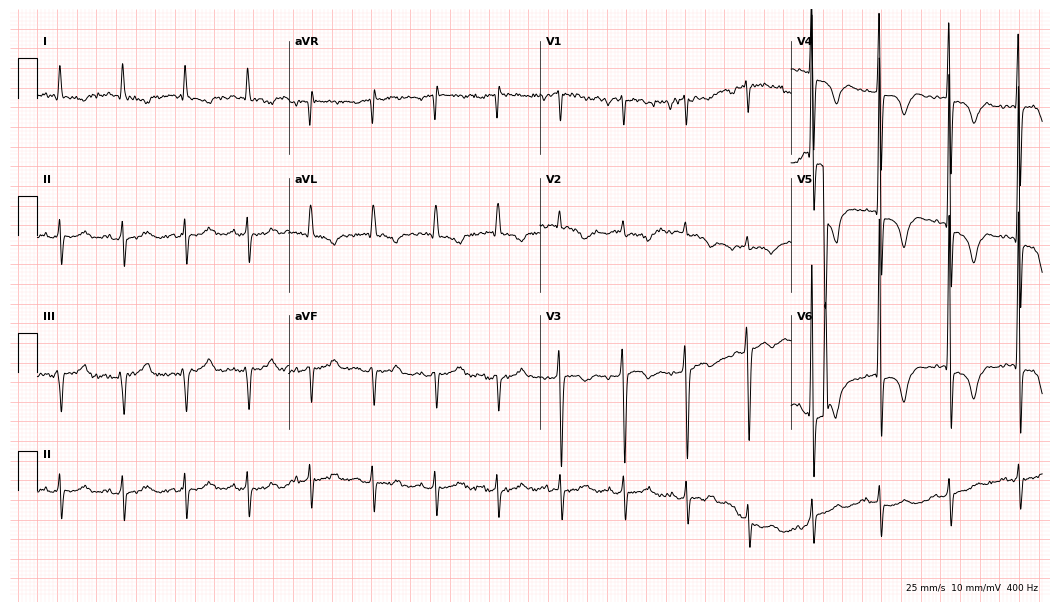
12-lead ECG from a man, 80 years old. Recorded interpretation: within normal limits.